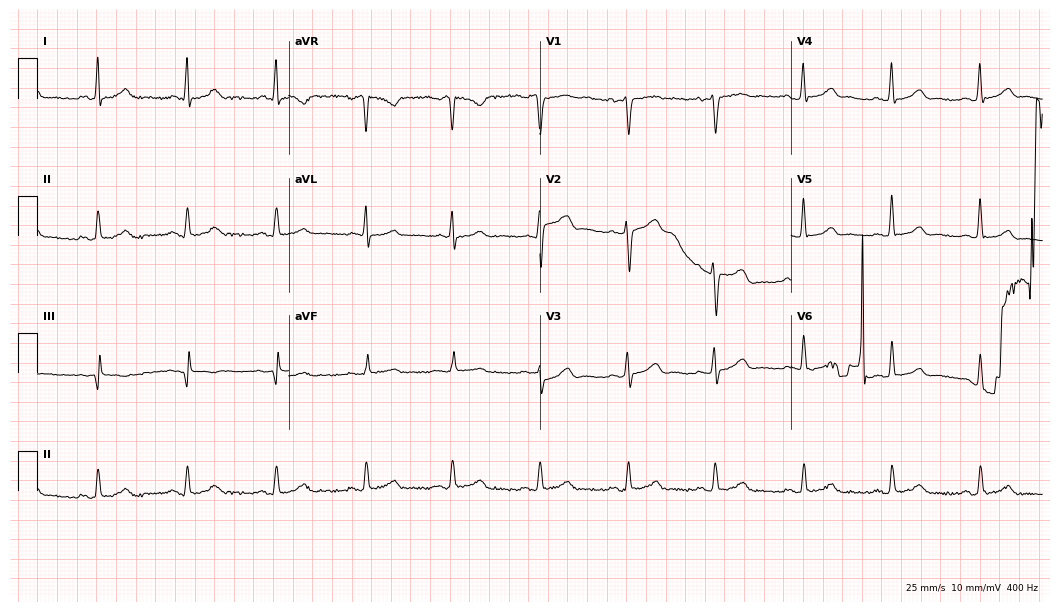
12-lead ECG from a male patient, 33 years old. Screened for six findings — first-degree AV block, right bundle branch block, left bundle branch block, sinus bradycardia, atrial fibrillation, sinus tachycardia — none is recorded.